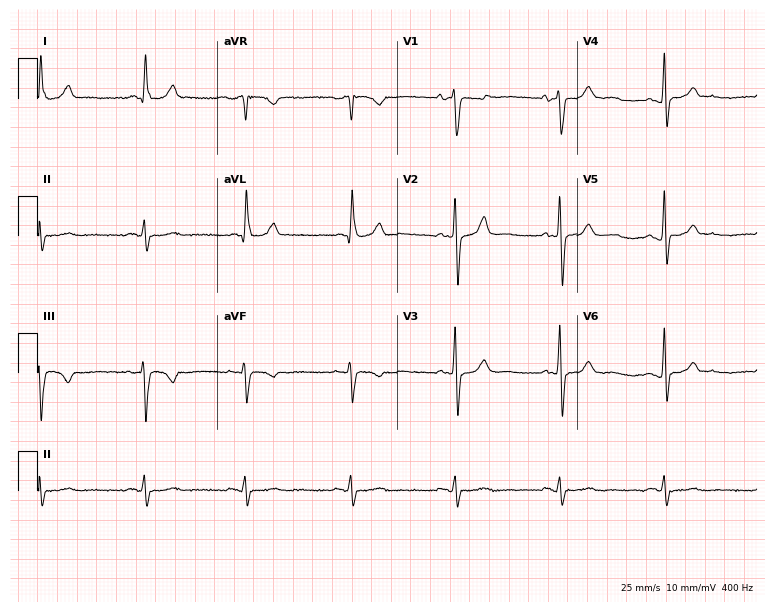
Standard 12-lead ECG recorded from a male, 64 years old (7.3-second recording at 400 Hz). Read as a normal ECG.